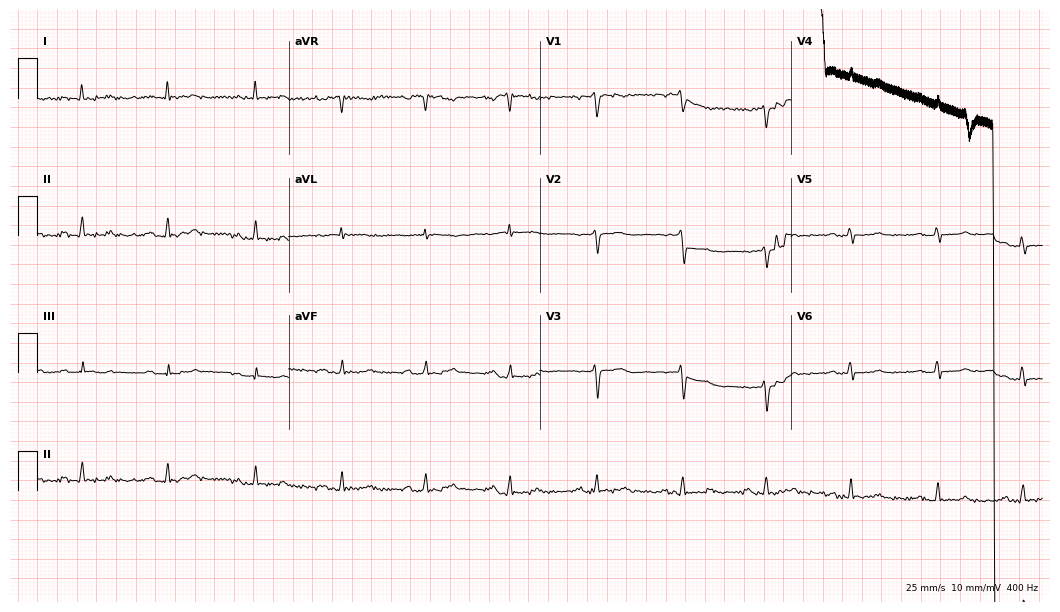
Resting 12-lead electrocardiogram (10.2-second recording at 400 Hz). Patient: a female, 42 years old. None of these six findings is recorded: first-degree AV block, right bundle branch block, left bundle branch block, sinus bradycardia, atrial fibrillation, sinus tachycardia. Findings outside these six are not listed.